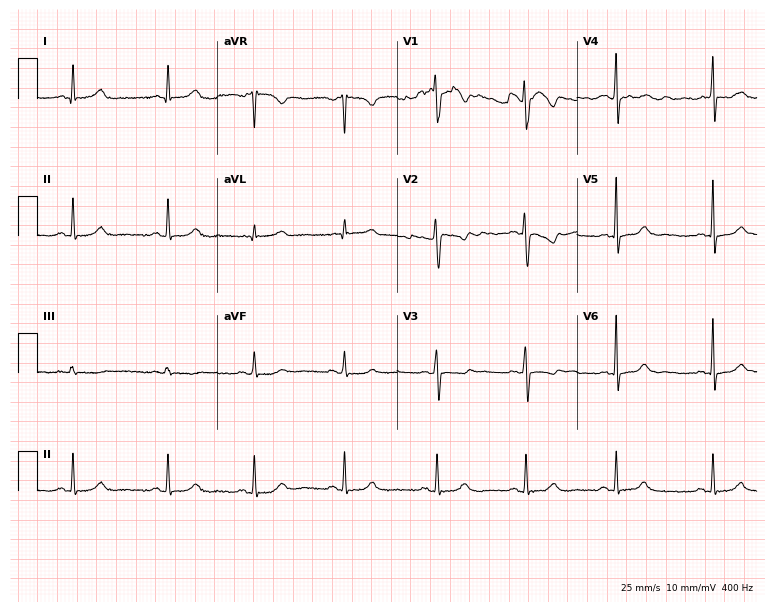
ECG (7.3-second recording at 400 Hz) — a 42-year-old female. Labelled as a normal ECG.